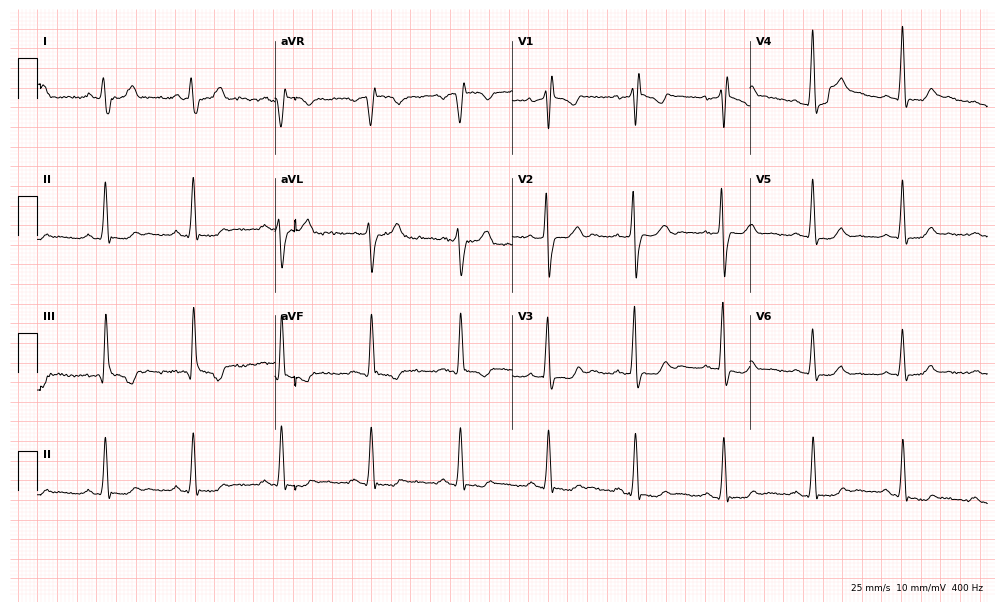
Electrocardiogram, a female patient, 66 years old. Of the six screened findings (first-degree AV block, right bundle branch block (RBBB), left bundle branch block (LBBB), sinus bradycardia, atrial fibrillation (AF), sinus tachycardia), none is recorded. Only these six findings were labelled.